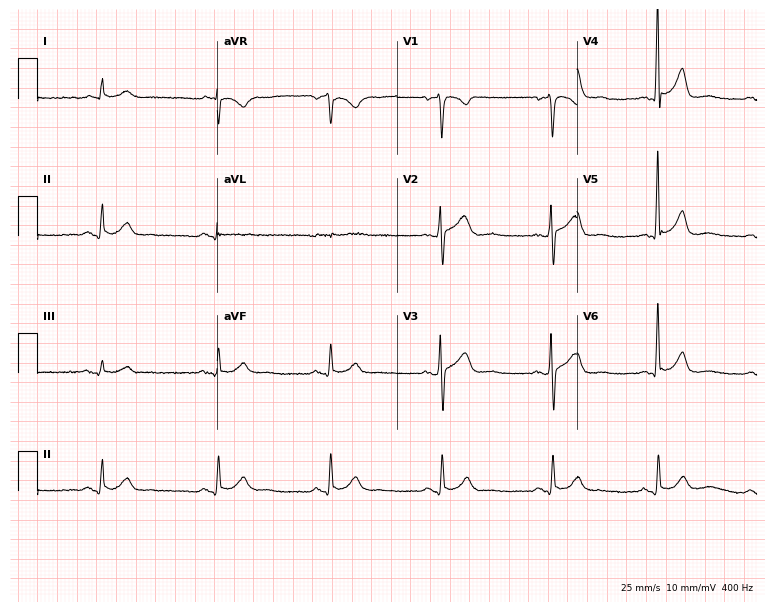
Standard 12-lead ECG recorded from a 64-year-old man. None of these six findings is recorded: first-degree AV block, right bundle branch block, left bundle branch block, sinus bradycardia, atrial fibrillation, sinus tachycardia. Findings outside these six are not listed.